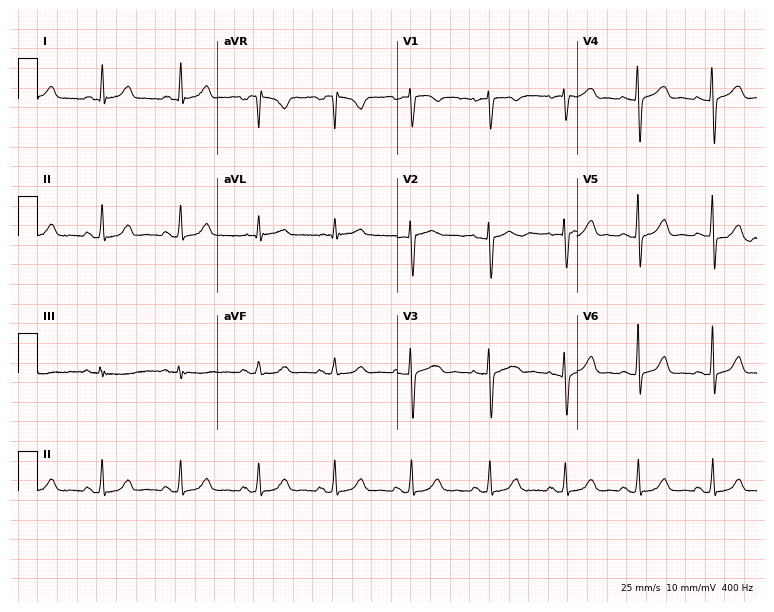
ECG (7.3-second recording at 400 Hz) — a female patient, 43 years old. Labelled as a normal ECG.